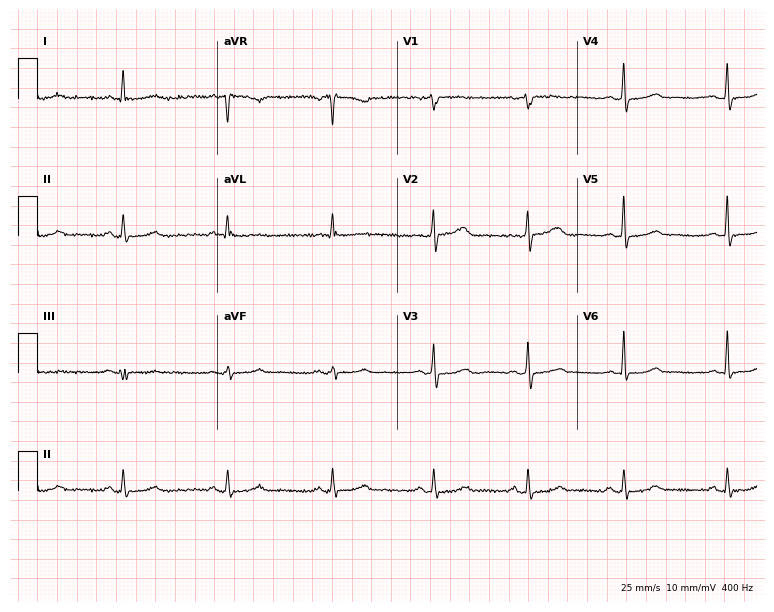
Resting 12-lead electrocardiogram. Patient: a woman, 59 years old. Read as a normal ECG.